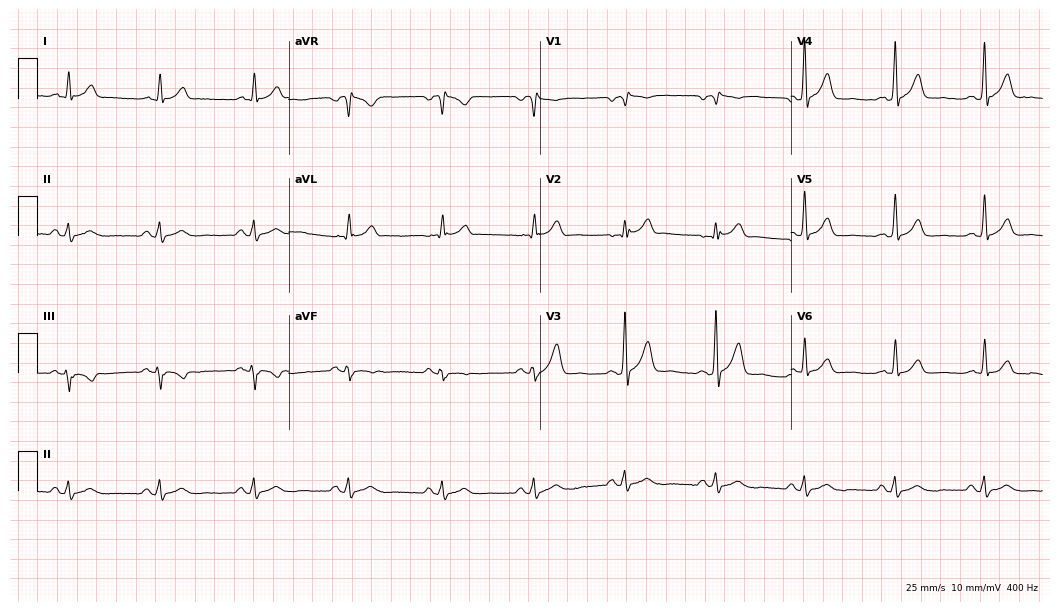
ECG (10.2-second recording at 400 Hz) — a male, 55 years old. Labelled as a normal ECG.